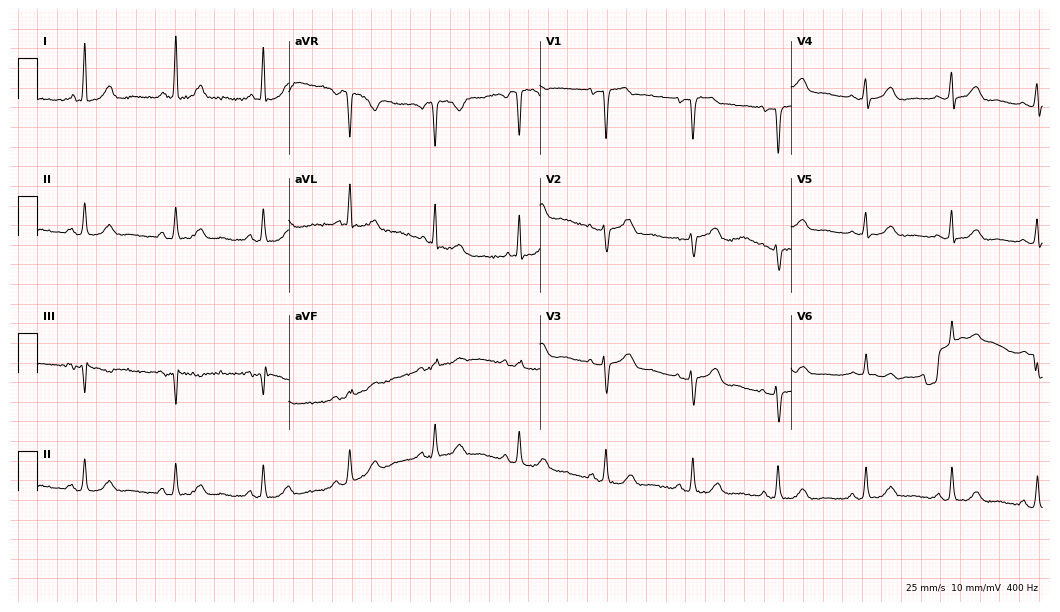
Resting 12-lead electrocardiogram (10.2-second recording at 400 Hz). Patient: a 60-year-old female. Read as a normal ECG.